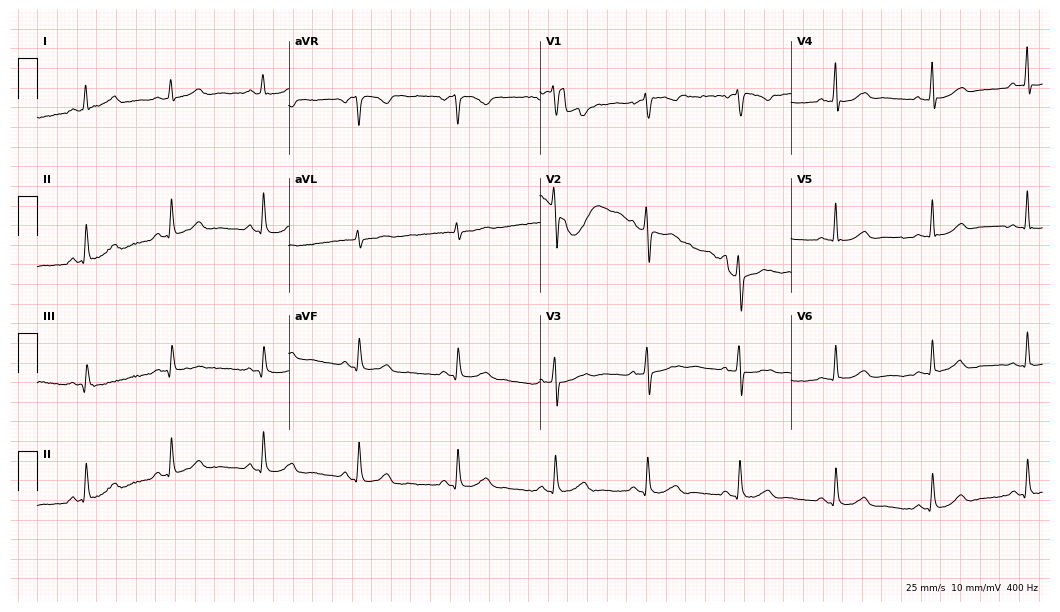
Resting 12-lead electrocardiogram (10.2-second recording at 400 Hz). Patient: a woman, 47 years old. Read as a normal ECG.